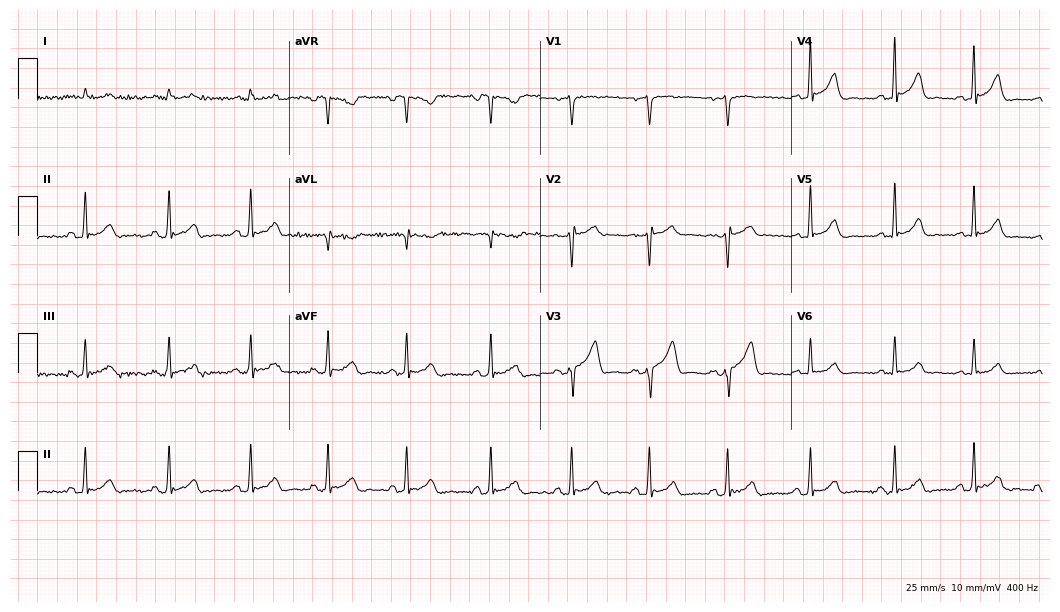
12-lead ECG from a 36-year-old man (10.2-second recording at 400 Hz). Recorded interpretation: within normal limits.